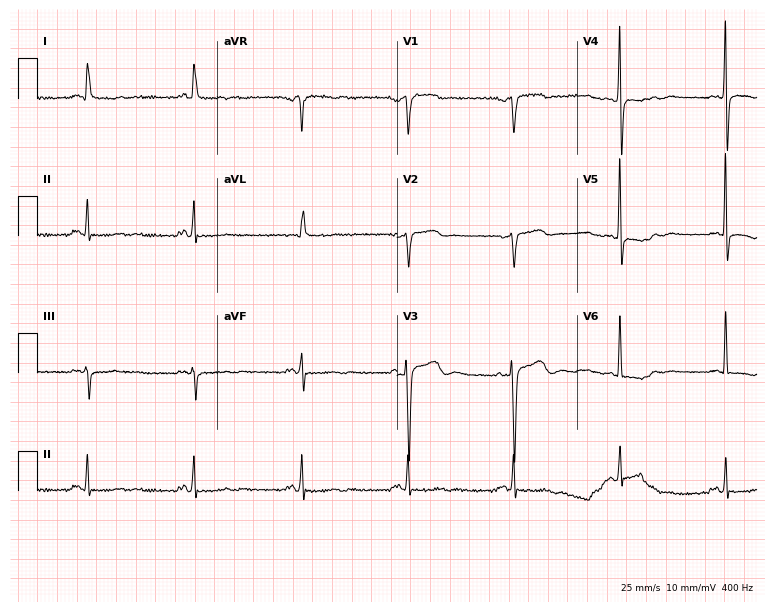
Resting 12-lead electrocardiogram (7.3-second recording at 400 Hz). Patient: a female, 78 years old. None of these six findings is recorded: first-degree AV block, right bundle branch block, left bundle branch block, sinus bradycardia, atrial fibrillation, sinus tachycardia.